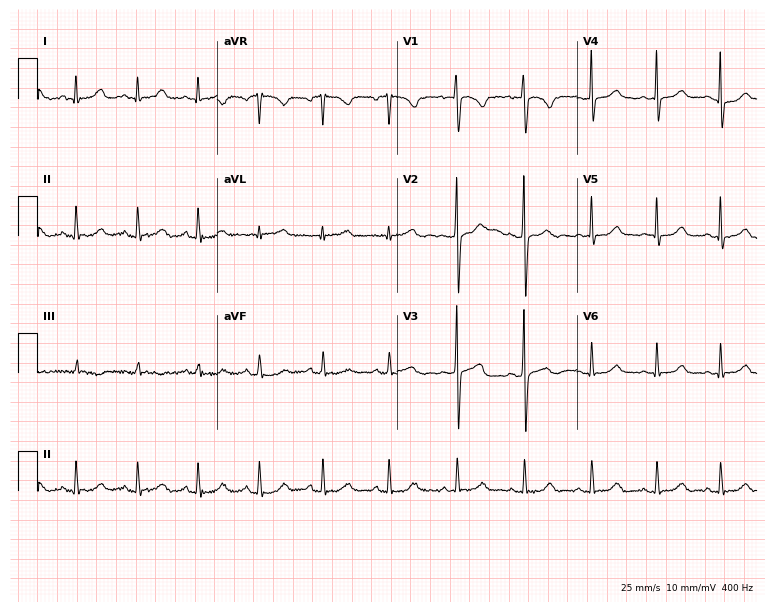
Electrocardiogram (7.3-second recording at 400 Hz), an 18-year-old woman. Overall reading on record: normal ECG.